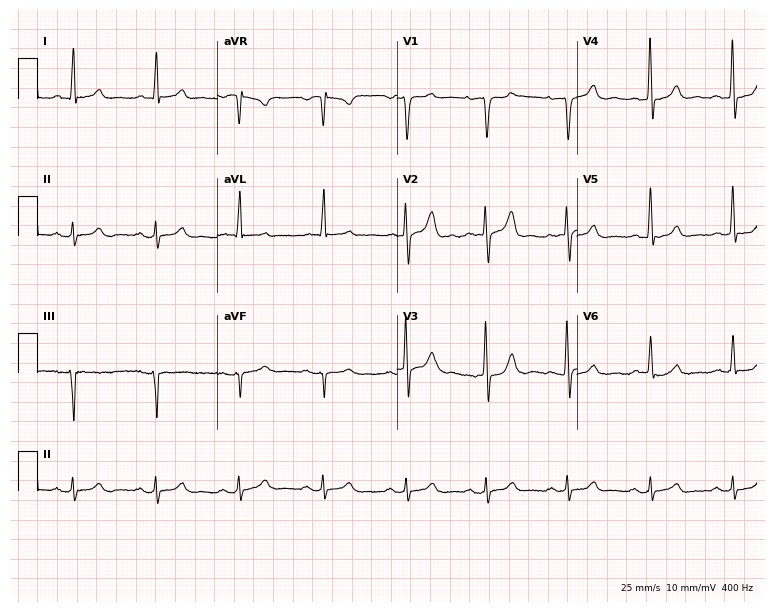
12-lead ECG from a man, 79 years old (7.3-second recording at 400 Hz). Recorded interpretation: within normal limits.